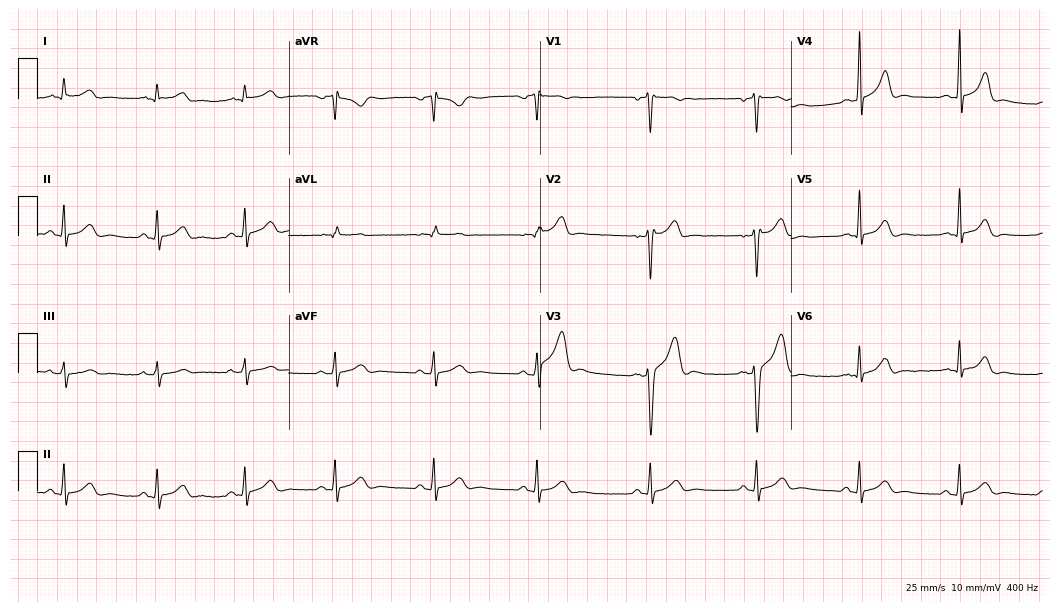
Resting 12-lead electrocardiogram (10.2-second recording at 400 Hz). Patient: a man, 25 years old. Read as a normal ECG.